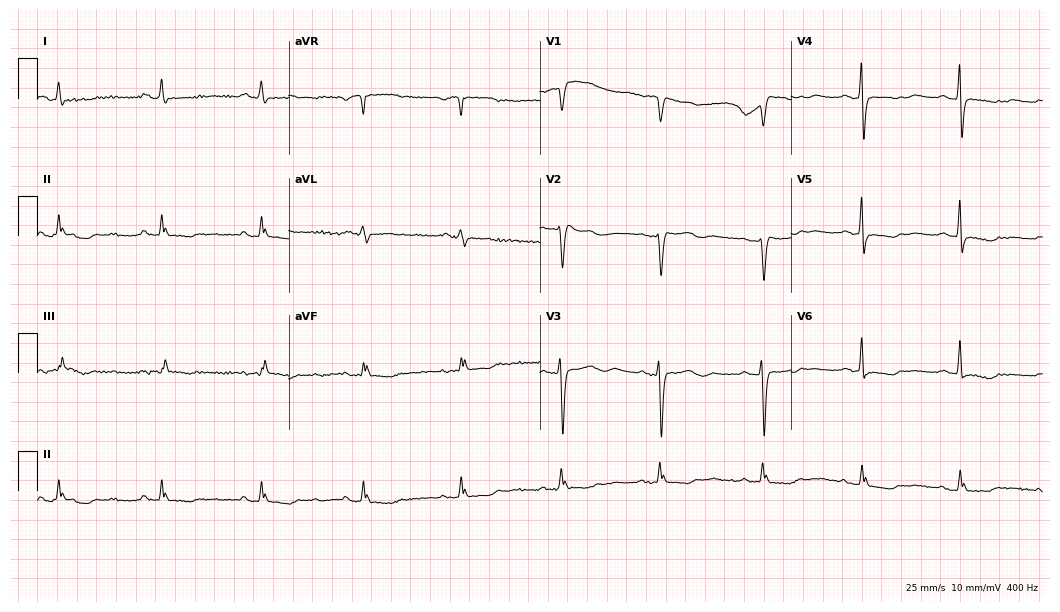
ECG (10.2-second recording at 400 Hz) — a woman, 75 years old. Screened for six findings — first-degree AV block, right bundle branch block, left bundle branch block, sinus bradycardia, atrial fibrillation, sinus tachycardia — none is recorded. Other findings, if any, are not listed.